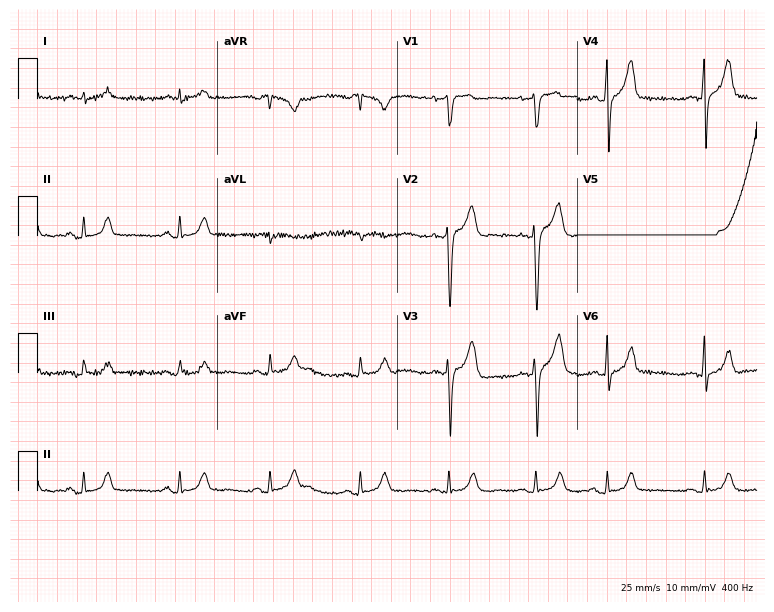
Electrocardiogram, a man, 81 years old. Overall reading on record: normal ECG.